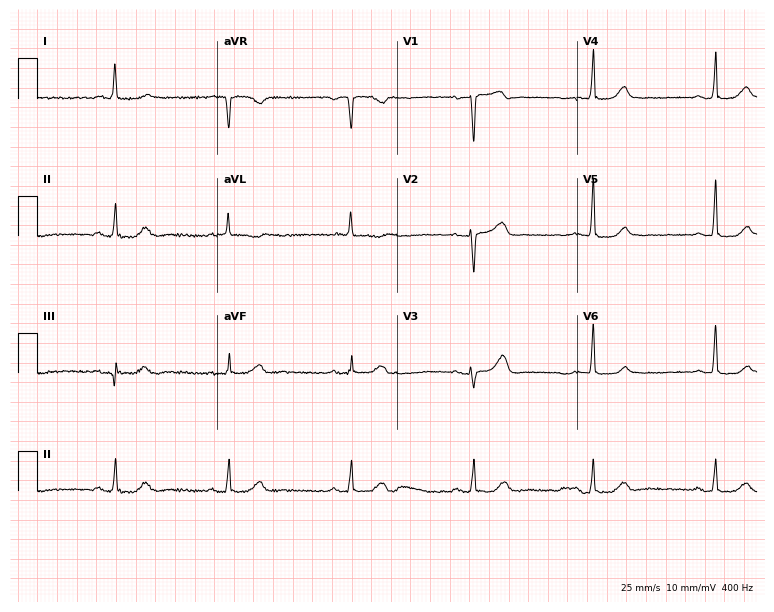
Standard 12-lead ECG recorded from a woman, 67 years old. The tracing shows sinus bradycardia (a sinus rate of 50 beats per minute or less).